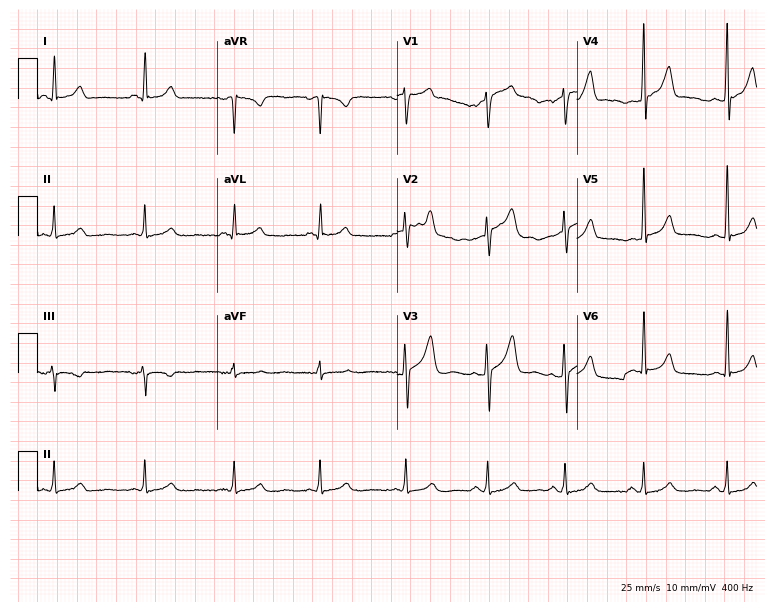
ECG (7.3-second recording at 400 Hz) — a 46-year-old female. Screened for six findings — first-degree AV block, right bundle branch block, left bundle branch block, sinus bradycardia, atrial fibrillation, sinus tachycardia — none is recorded. Only these six findings were labelled.